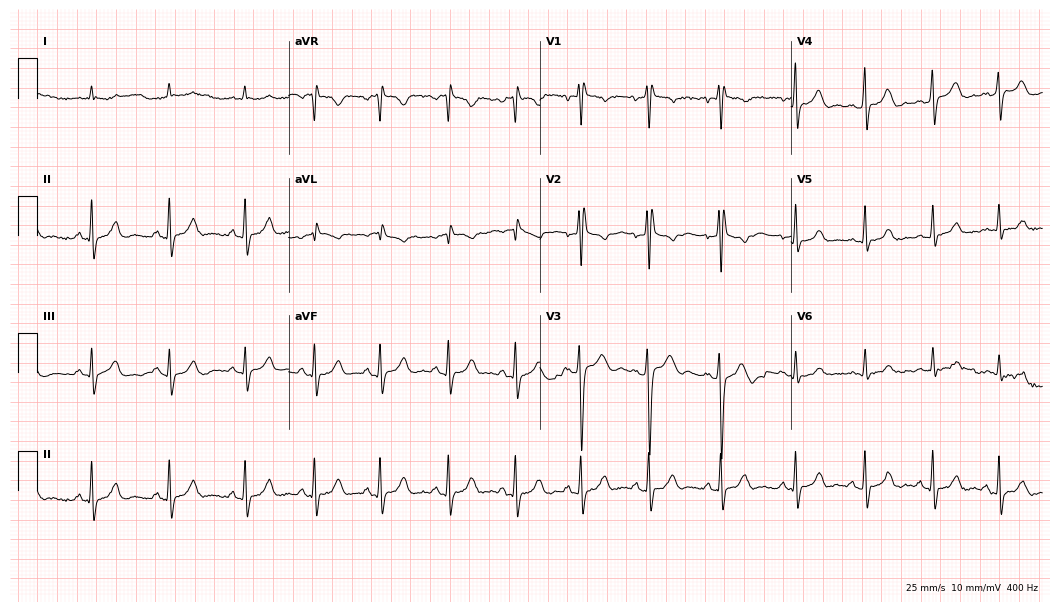
Resting 12-lead electrocardiogram (10.2-second recording at 400 Hz). Patient: a 22-year-old male. None of these six findings is recorded: first-degree AV block, right bundle branch block (RBBB), left bundle branch block (LBBB), sinus bradycardia, atrial fibrillation (AF), sinus tachycardia. Findings outside these six are not listed.